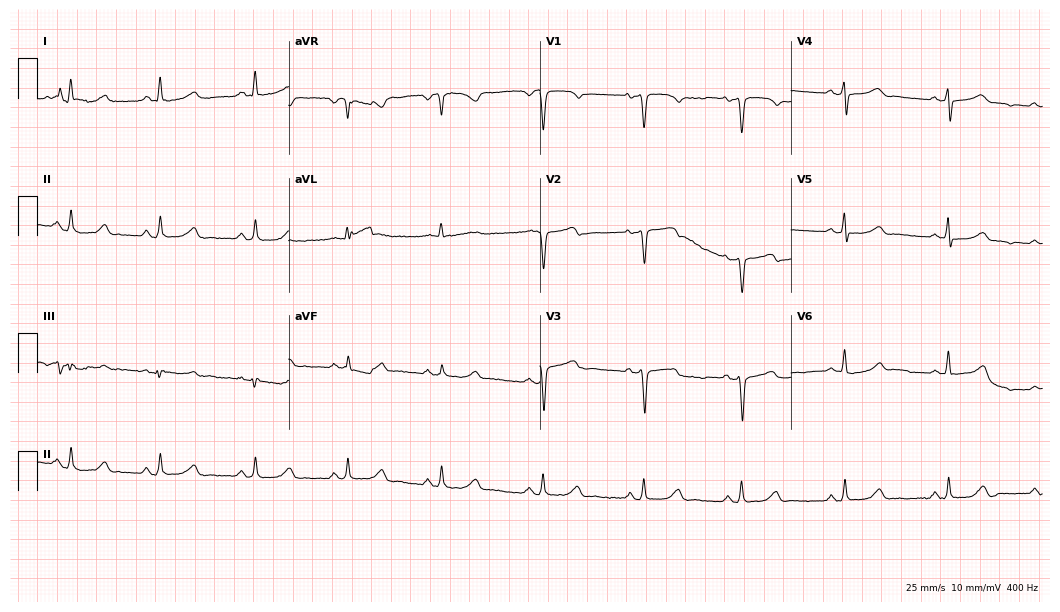
ECG (10.2-second recording at 400 Hz) — a 51-year-old woman. Screened for six findings — first-degree AV block, right bundle branch block, left bundle branch block, sinus bradycardia, atrial fibrillation, sinus tachycardia — none is recorded.